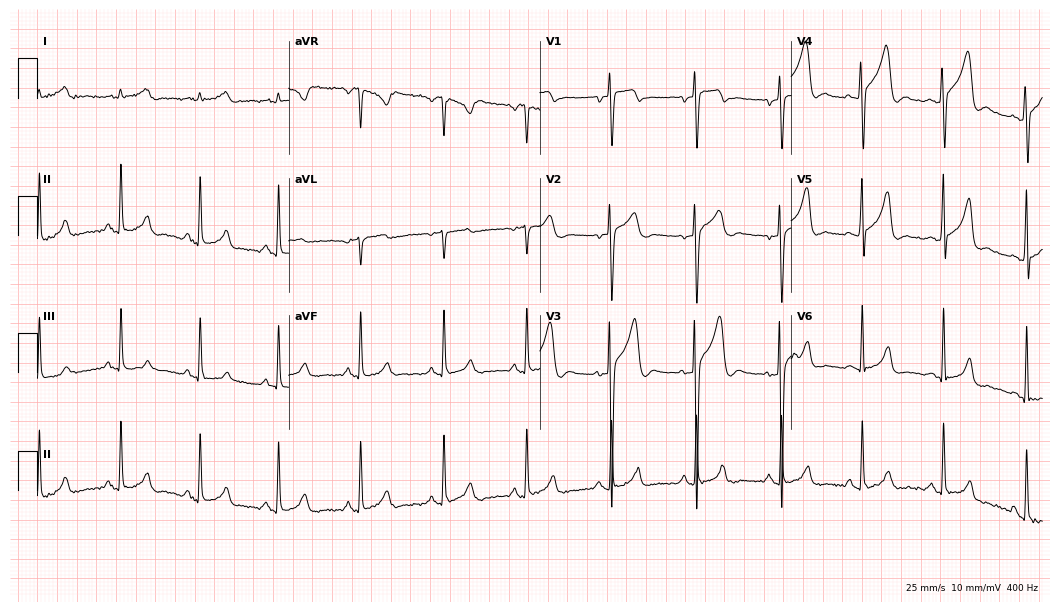
Electrocardiogram (10.2-second recording at 400 Hz), a 26-year-old man. Overall reading on record: normal ECG.